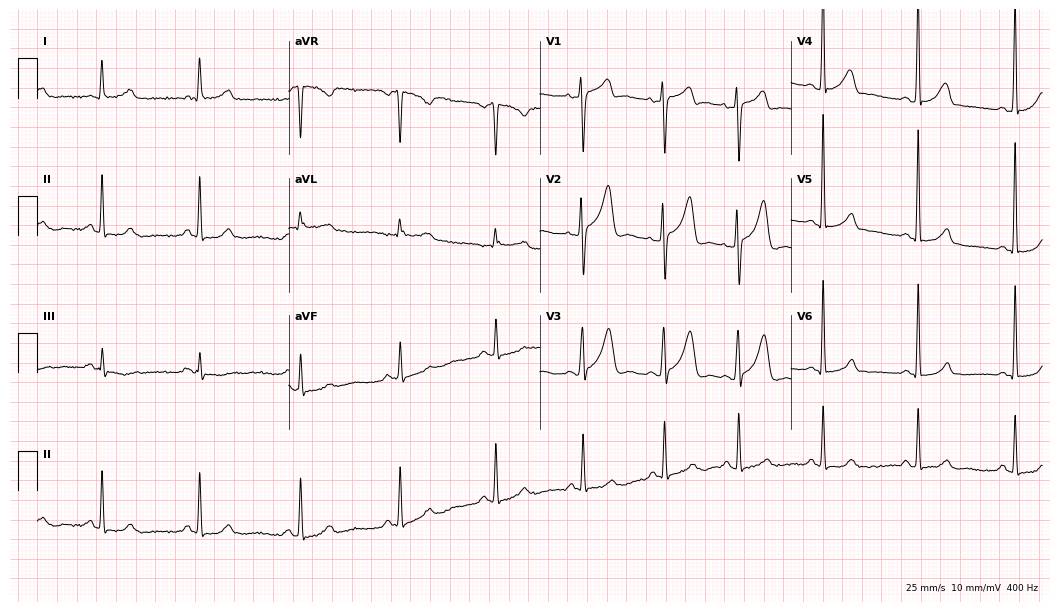
12-lead ECG from a male patient, 41 years old. Labelled as a normal ECG.